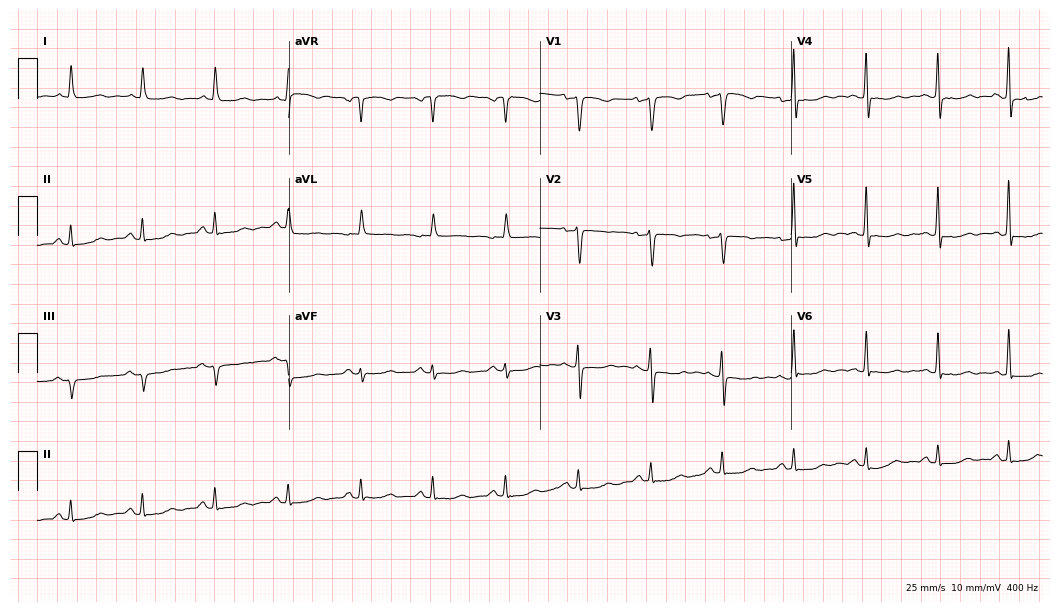
12-lead ECG from a 70-year-old woman. Screened for six findings — first-degree AV block, right bundle branch block, left bundle branch block, sinus bradycardia, atrial fibrillation, sinus tachycardia — none is recorded.